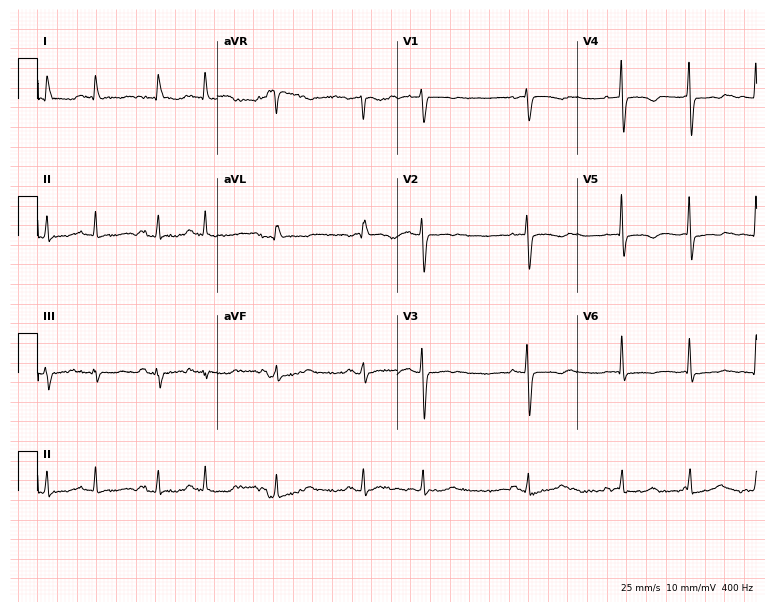
ECG — a 79-year-old woman. Screened for six findings — first-degree AV block, right bundle branch block, left bundle branch block, sinus bradycardia, atrial fibrillation, sinus tachycardia — none is recorded.